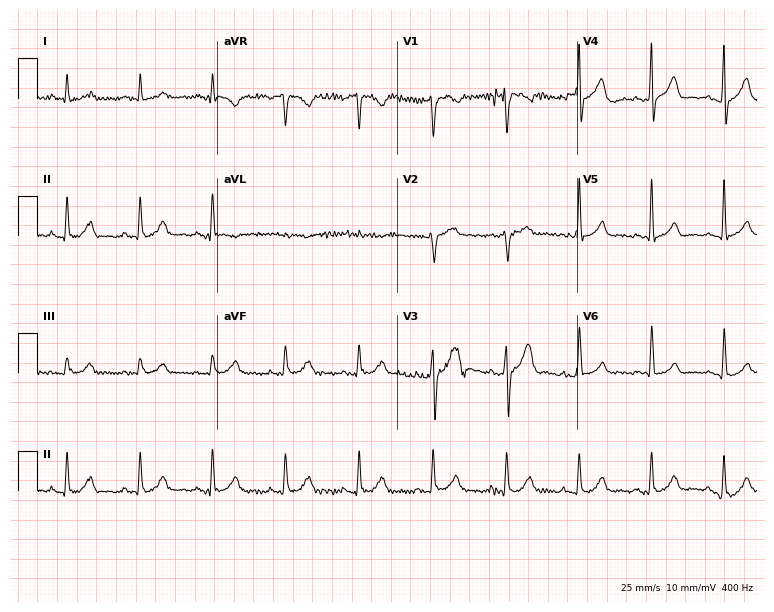
ECG (7.3-second recording at 400 Hz) — a man, 48 years old. Labelled as a normal ECG.